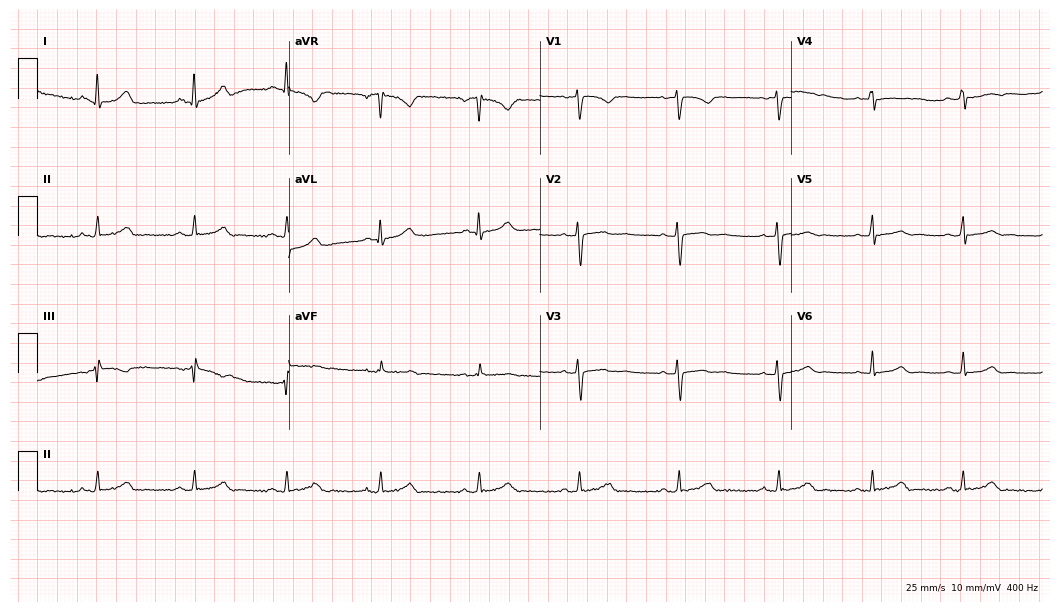
12-lead ECG (10.2-second recording at 400 Hz) from a 29-year-old female patient. Screened for six findings — first-degree AV block, right bundle branch block, left bundle branch block, sinus bradycardia, atrial fibrillation, sinus tachycardia — none is recorded. Other findings, if any, are not listed.